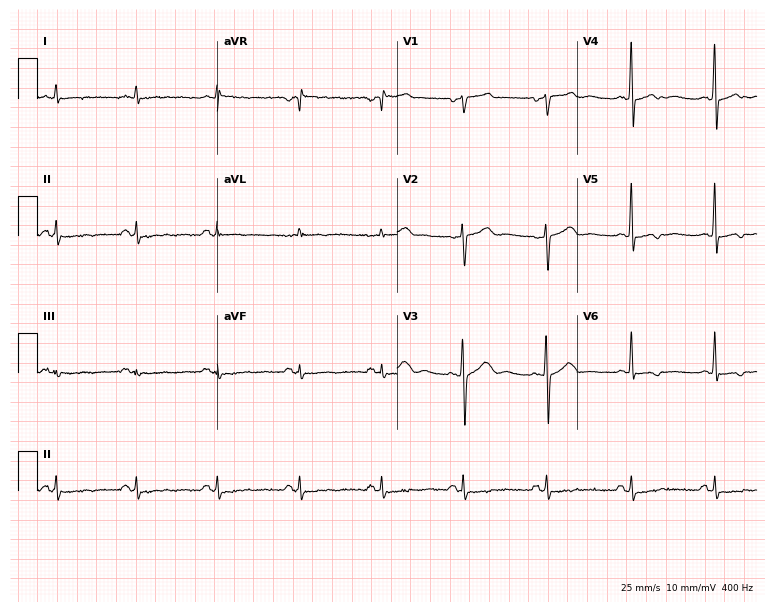
Standard 12-lead ECG recorded from a 56-year-old male. None of these six findings is recorded: first-degree AV block, right bundle branch block, left bundle branch block, sinus bradycardia, atrial fibrillation, sinus tachycardia.